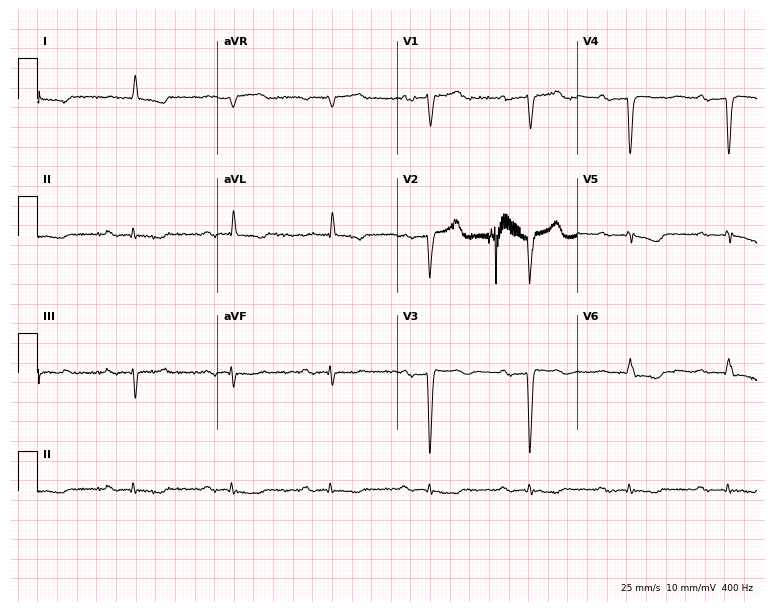
Electrocardiogram (7.3-second recording at 400 Hz), an 82-year-old male. Of the six screened findings (first-degree AV block, right bundle branch block, left bundle branch block, sinus bradycardia, atrial fibrillation, sinus tachycardia), none is recorded. Only these six findings were labelled.